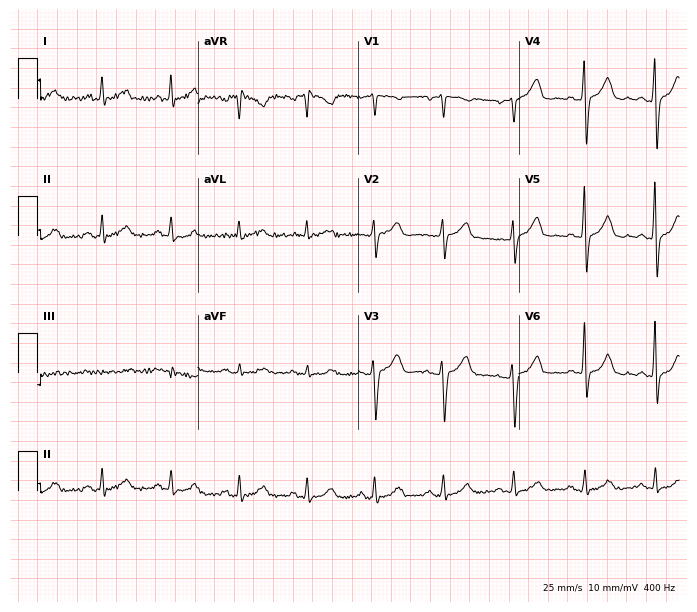
12-lead ECG from a 60-year-old woman. Recorded interpretation: within normal limits.